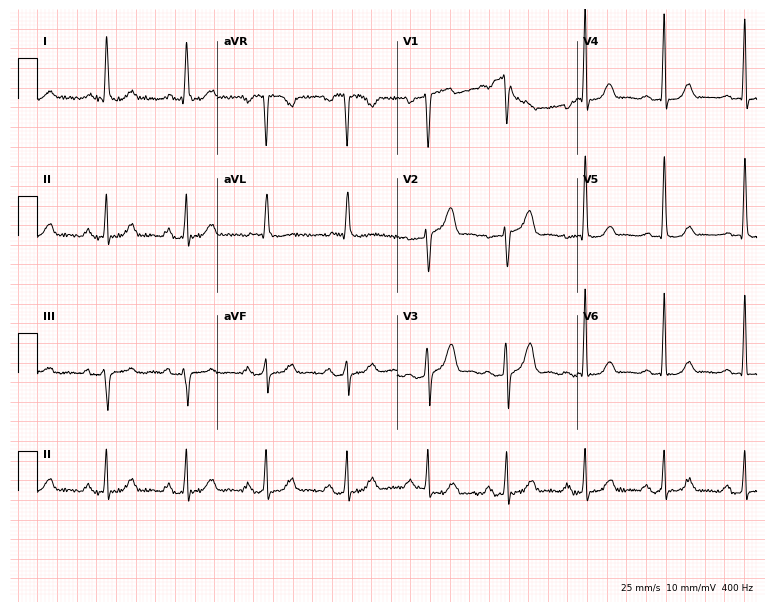
ECG — a 55-year-old female. Screened for six findings — first-degree AV block, right bundle branch block, left bundle branch block, sinus bradycardia, atrial fibrillation, sinus tachycardia — none is recorded.